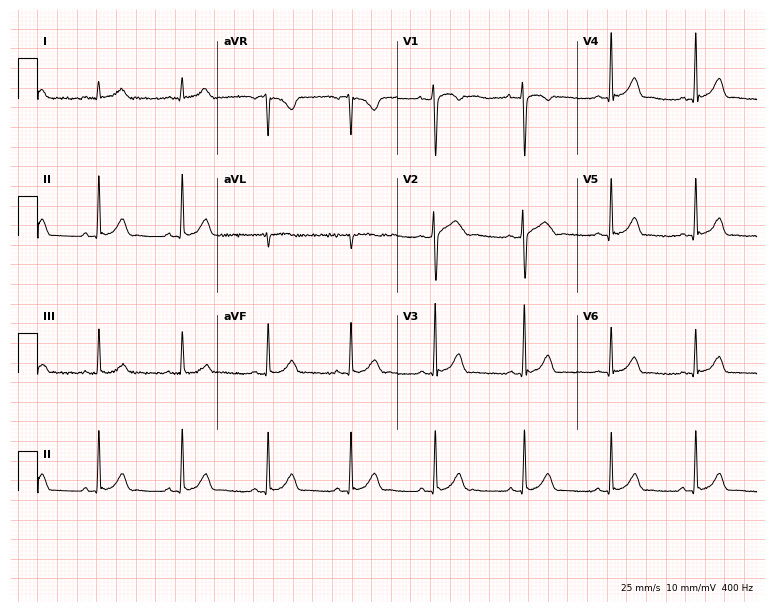
Standard 12-lead ECG recorded from a female patient, 25 years old (7.3-second recording at 400 Hz). None of these six findings is recorded: first-degree AV block, right bundle branch block, left bundle branch block, sinus bradycardia, atrial fibrillation, sinus tachycardia.